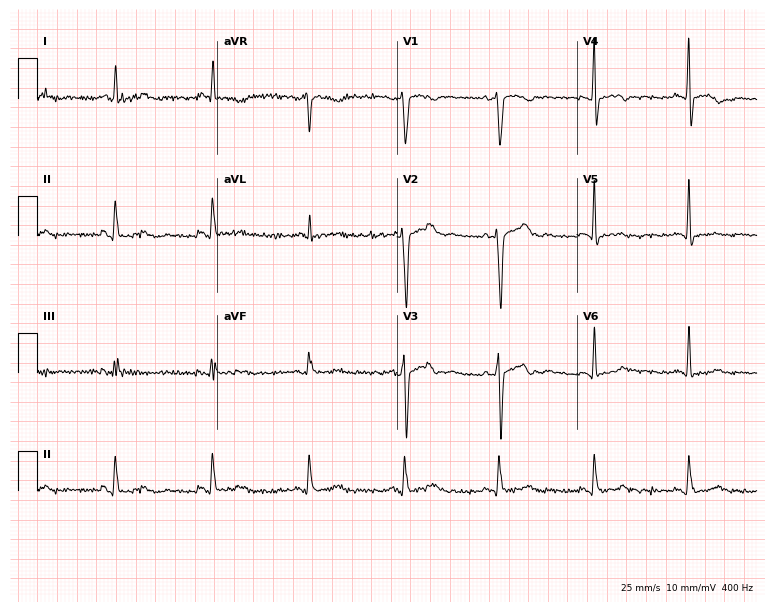
12-lead ECG from a 45-year-old male patient. No first-degree AV block, right bundle branch block, left bundle branch block, sinus bradycardia, atrial fibrillation or sinus tachycardia recorded for this tracing.